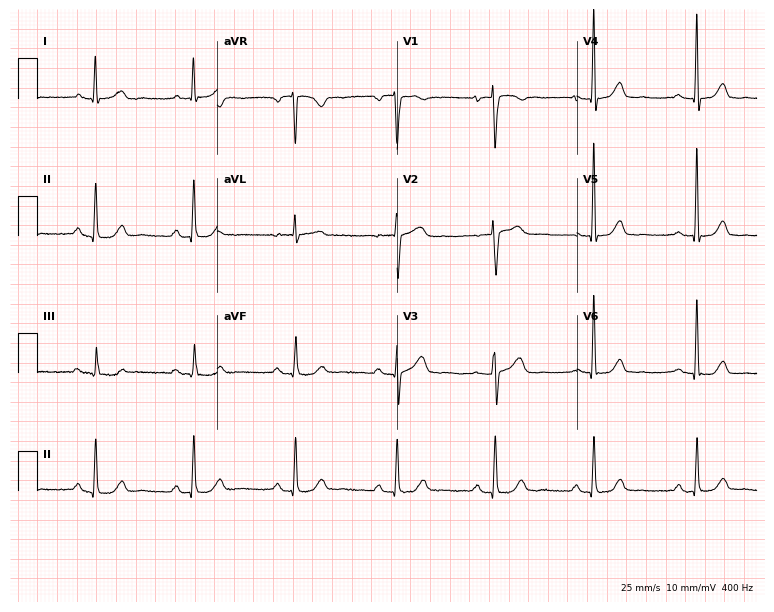
12-lead ECG from a 70-year-old female patient. Recorded interpretation: within normal limits.